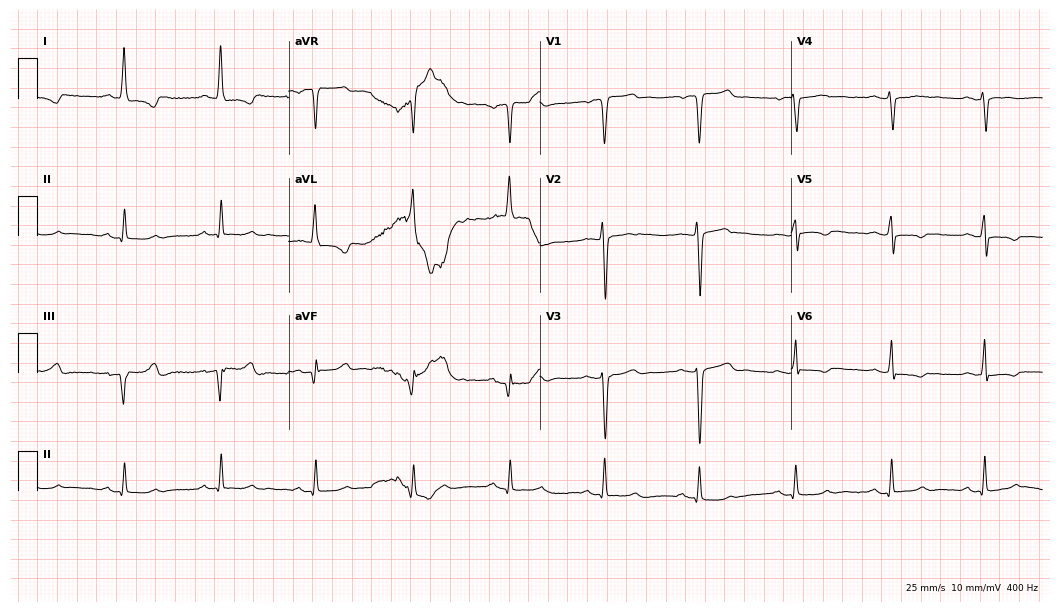
12-lead ECG from a 56-year-old female patient (10.2-second recording at 400 Hz). No first-degree AV block, right bundle branch block (RBBB), left bundle branch block (LBBB), sinus bradycardia, atrial fibrillation (AF) or sinus tachycardia recorded for this tracing.